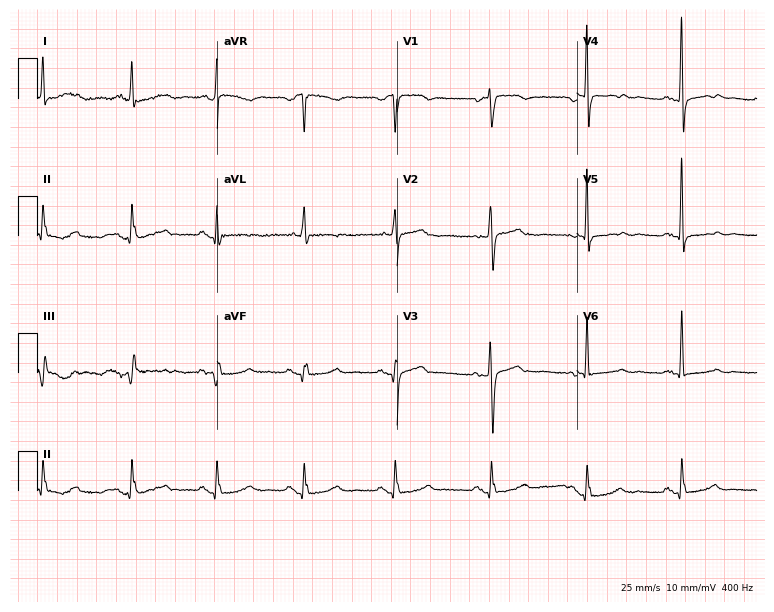
12-lead ECG from a female patient, 72 years old. Labelled as a normal ECG.